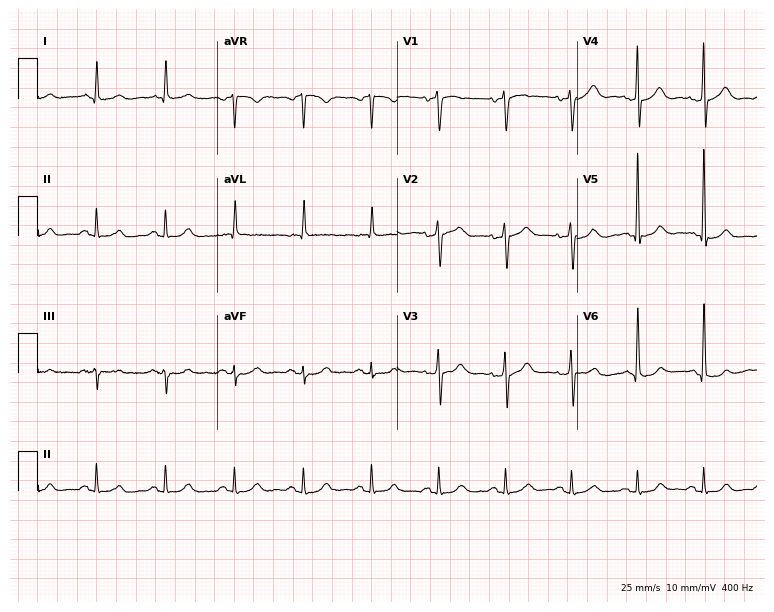
12-lead ECG from an 84-year-old male patient. No first-degree AV block, right bundle branch block (RBBB), left bundle branch block (LBBB), sinus bradycardia, atrial fibrillation (AF) or sinus tachycardia recorded for this tracing.